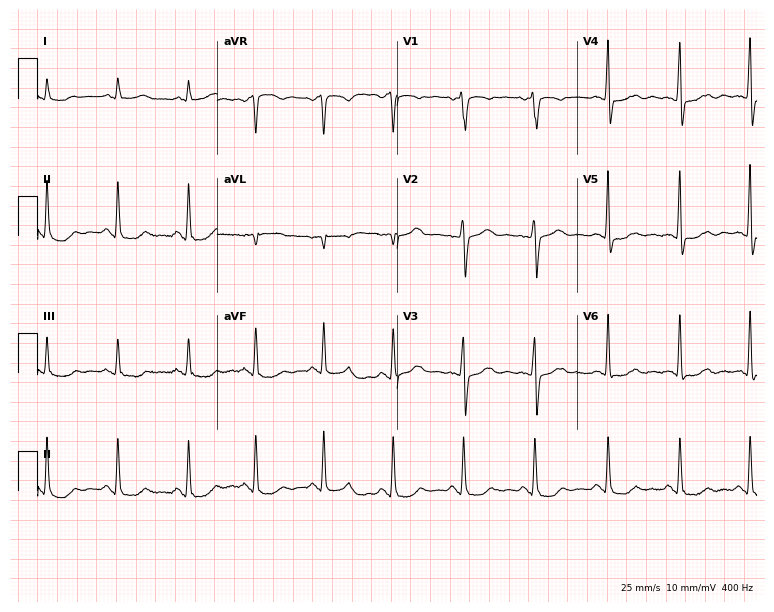
ECG — a 59-year-old female. Screened for six findings — first-degree AV block, right bundle branch block (RBBB), left bundle branch block (LBBB), sinus bradycardia, atrial fibrillation (AF), sinus tachycardia — none is recorded.